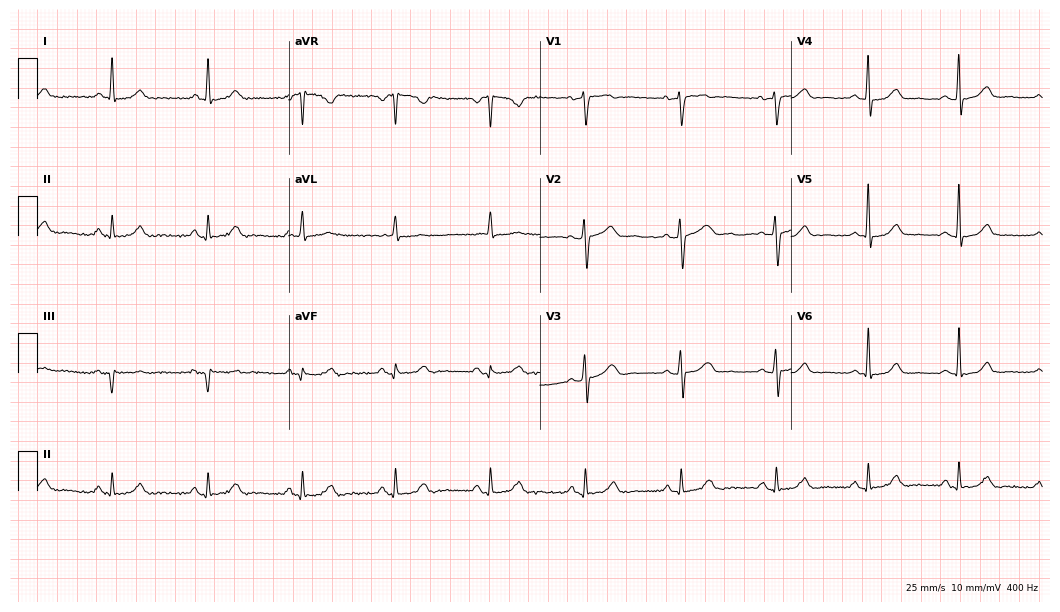
Standard 12-lead ECG recorded from a 54-year-old female patient. Read as a normal ECG.